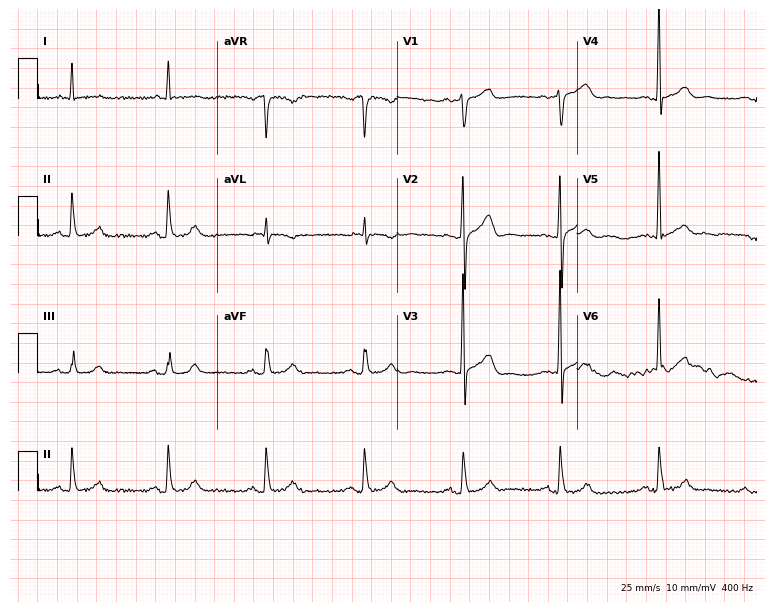
ECG — a man, 73 years old. Screened for six findings — first-degree AV block, right bundle branch block, left bundle branch block, sinus bradycardia, atrial fibrillation, sinus tachycardia — none is recorded. Only these six findings were labelled.